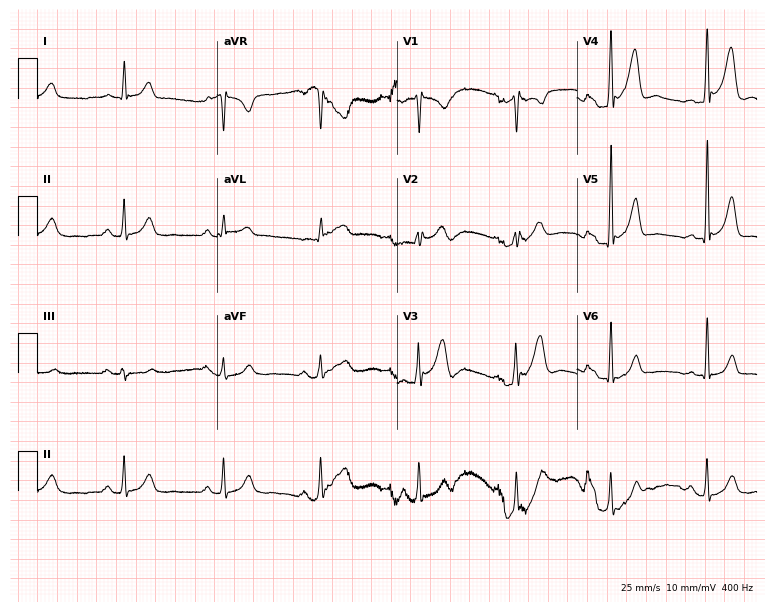
12-lead ECG from a 39-year-old woman (7.3-second recording at 400 Hz). No first-degree AV block, right bundle branch block (RBBB), left bundle branch block (LBBB), sinus bradycardia, atrial fibrillation (AF) or sinus tachycardia recorded for this tracing. Findings outside these six are not listed.